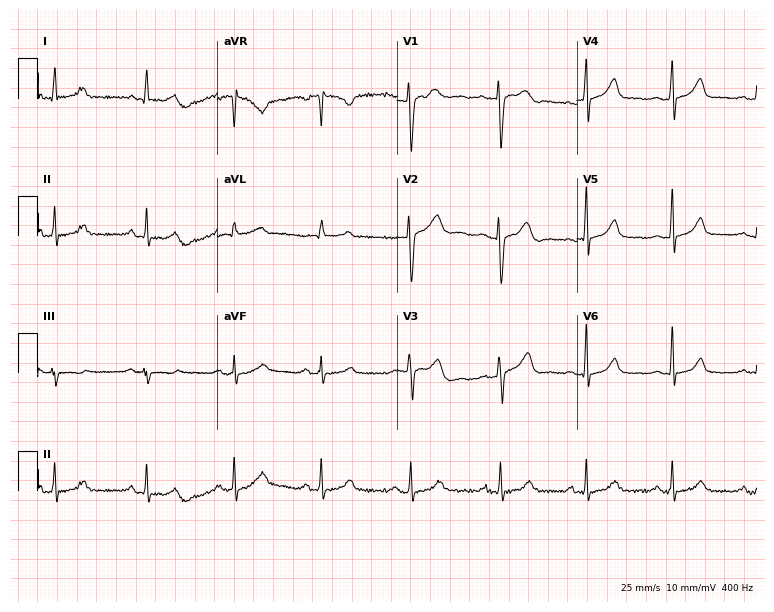
Electrocardiogram (7.3-second recording at 400 Hz), a 45-year-old female. Overall reading on record: normal ECG.